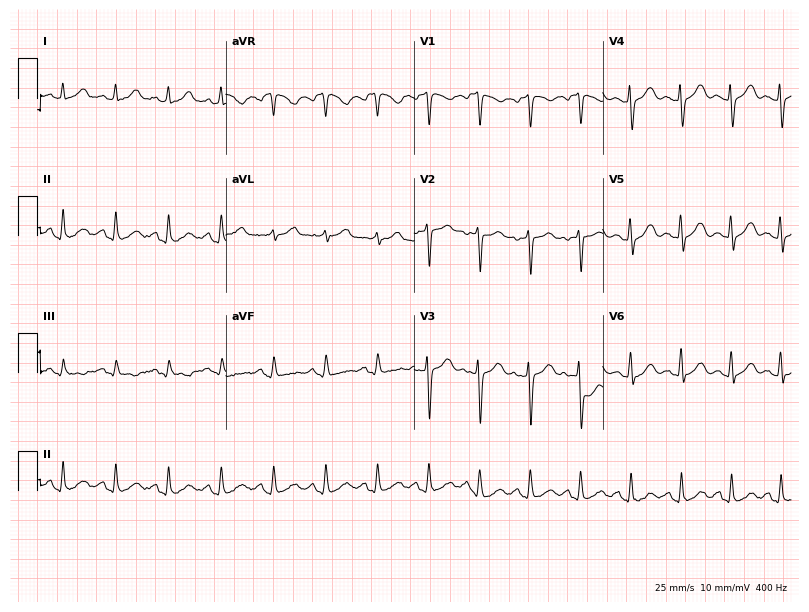
Standard 12-lead ECG recorded from a woman, 38 years old. None of these six findings is recorded: first-degree AV block, right bundle branch block, left bundle branch block, sinus bradycardia, atrial fibrillation, sinus tachycardia.